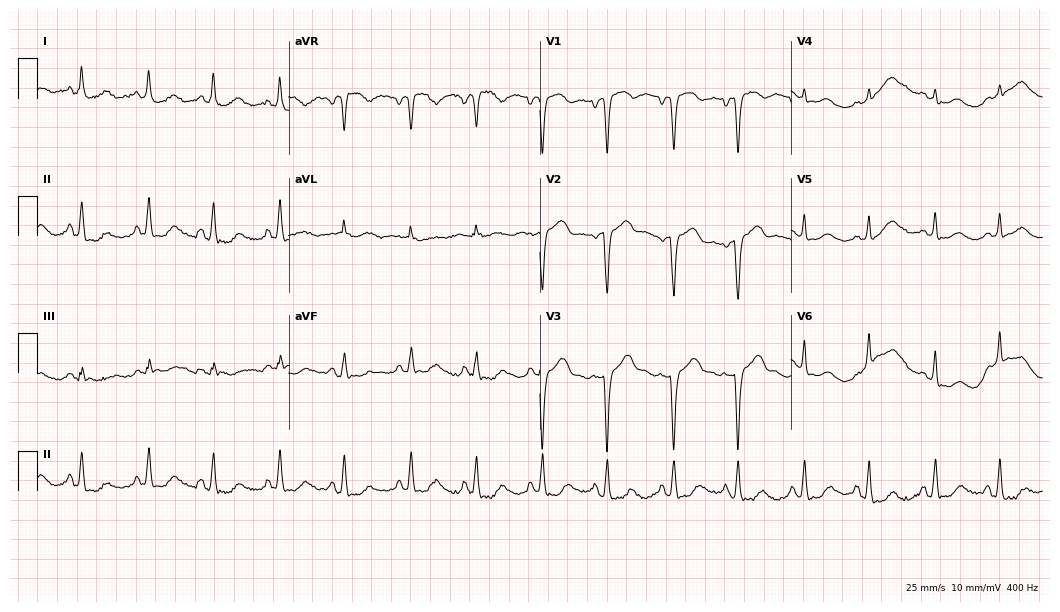
12-lead ECG from a 71-year-old woman. Screened for six findings — first-degree AV block, right bundle branch block, left bundle branch block, sinus bradycardia, atrial fibrillation, sinus tachycardia — none is recorded. Other findings, if any, are not listed.